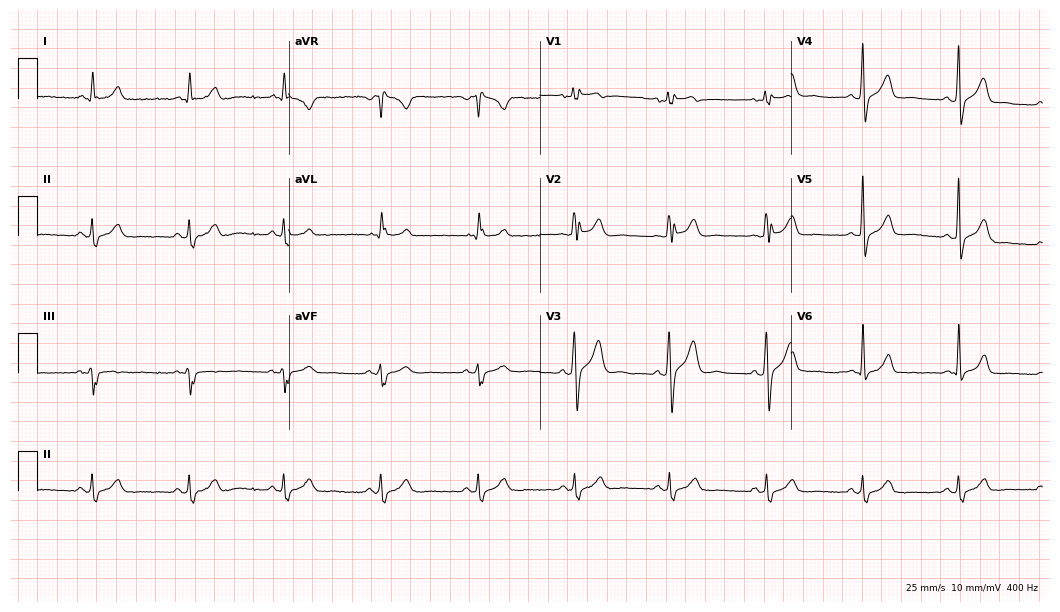
12-lead ECG (10.2-second recording at 400 Hz) from a man, 46 years old. Screened for six findings — first-degree AV block, right bundle branch block (RBBB), left bundle branch block (LBBB), sinus bradycardia, atrial fibrillation (AF), sinus tachycardia — none is recorded.